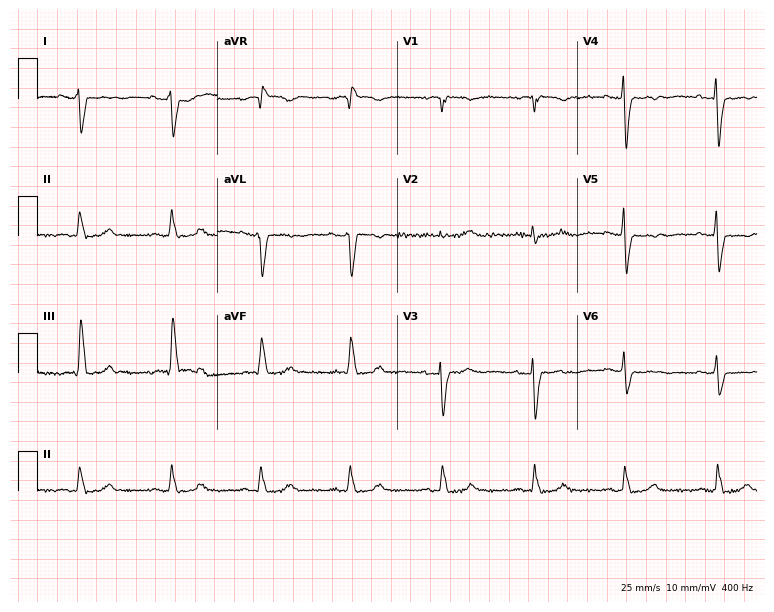
12-lead ECG (7.3-second recording at 400 Hz) from a 77-year-old female patient. Screened for six findings — first-degree AV block, right bundle branch block (RBBB), left bundle branch block (LBBB), sinus bradycardia, atrial fibrillation (AF), sinus tachycardia — none is recorded. Other findings, if any, are not listed.